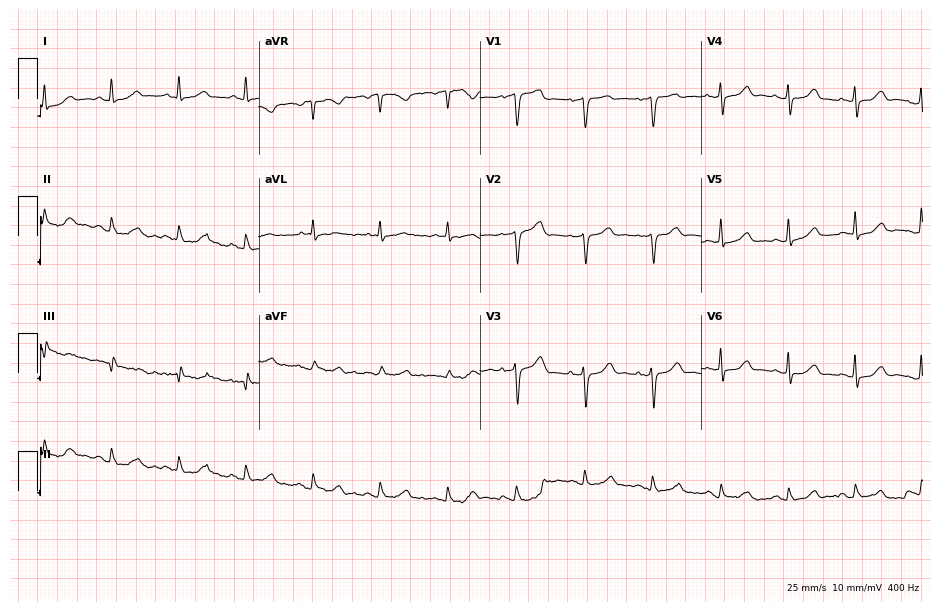
Standard 12-lead ECG recorded from a 63-year-old woman. Read as a normal ECG.